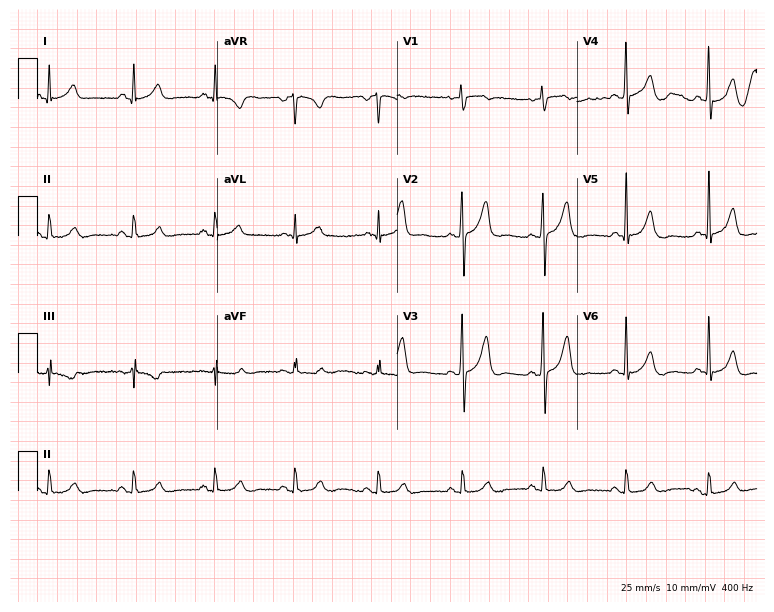
Resting 12-lead electrocardiogram (7.3-second recording at 400 Hz). Patient: a male, 50 years old. Read as a normal ECG.